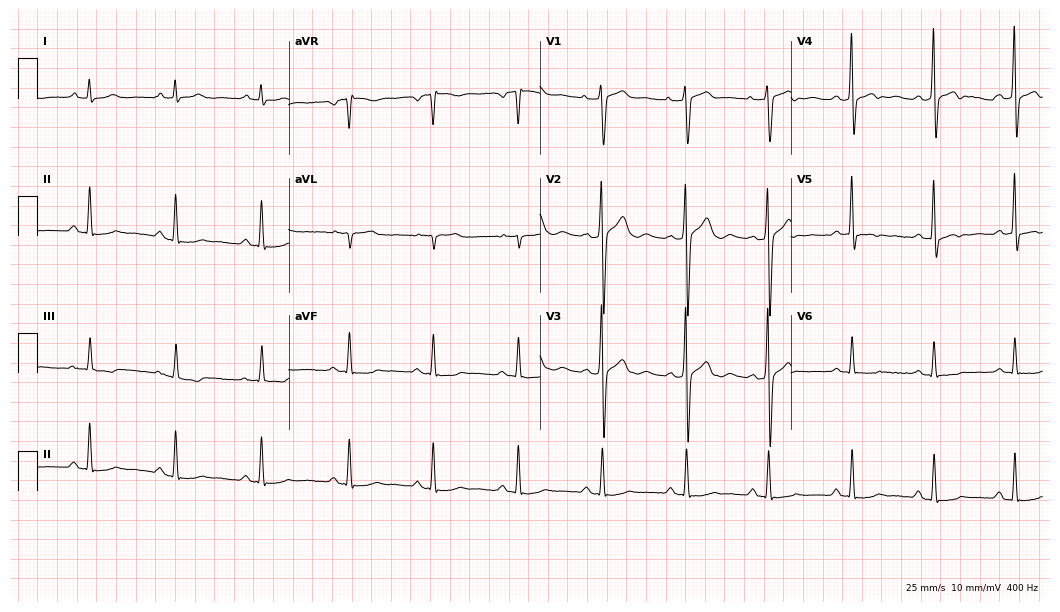
12-lead ECG (10.2-second recording at 400 Hz) from a man, 56 years old. Screened for six findings — first-degree AV block, right bundle branch block (RBBB), left bundle branch block (LBBB), sinus bradycardia, atrial fibrillation (AF), sinus tachycardia — none is recorded.